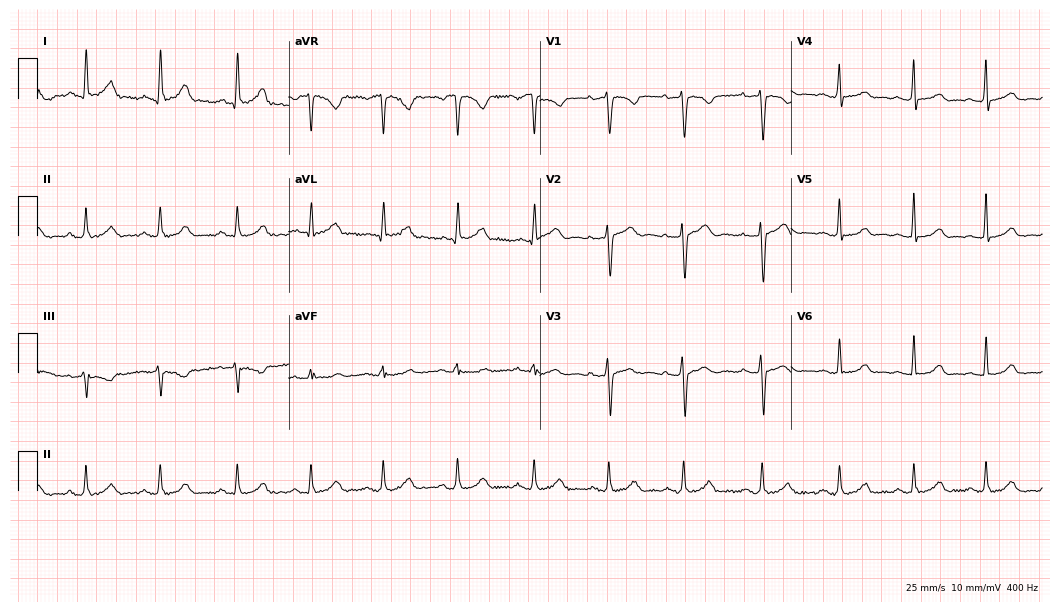
12-lead ECG from a female patient, 42 years old. Labelled as a normal ECG.